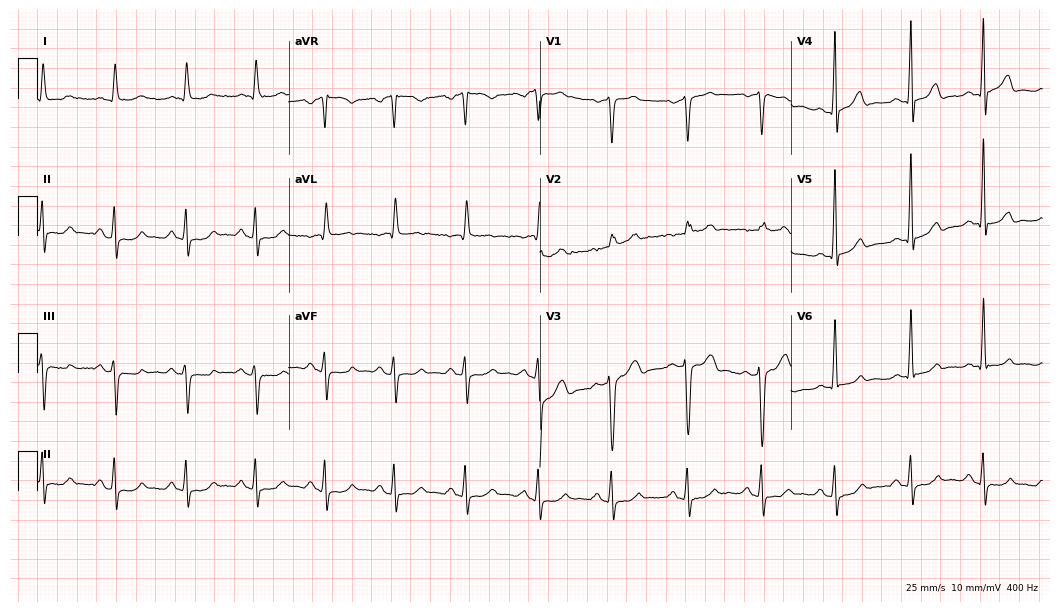
Resting 12-lead electrocardiogram. Patient: a man, 43 years old. None of these six findings is recorded: first-degree AV block, right bundle branch block, left bundle branch block, sinus bradycardia, atrial fibrillation, sinus tachycardia.